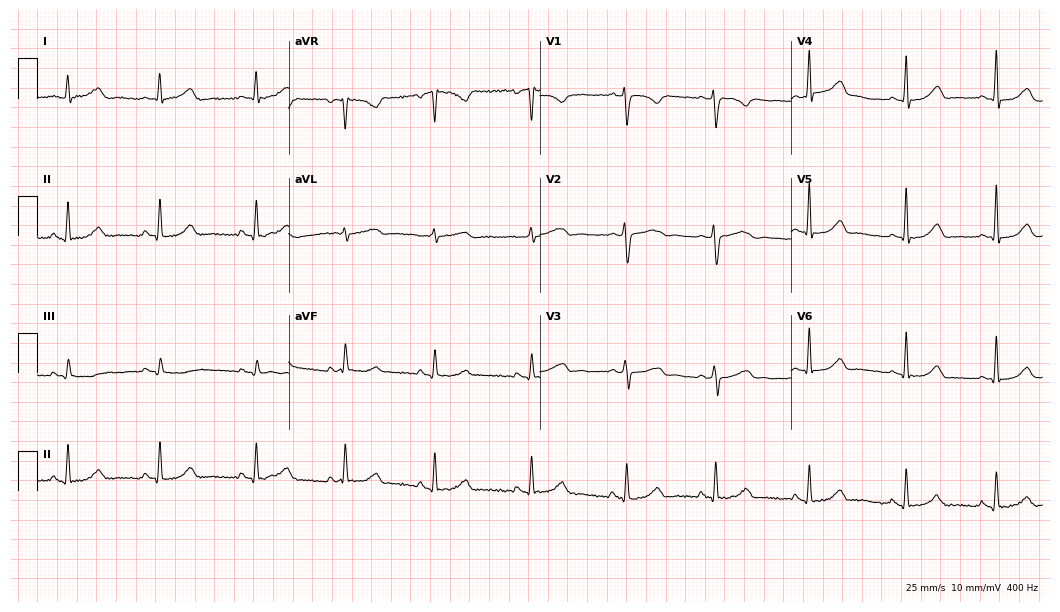
Standard 12-lead ECG recorded from a 43-year-old female (10.2-second recording at 400 Hz). Read as a normal ECG.